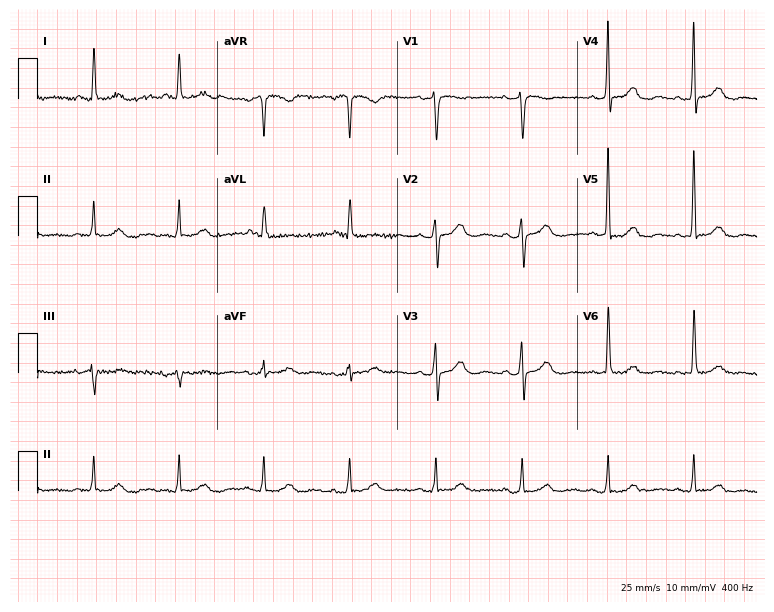
Standard 12-lead ECG recorded from a female patient, 65 years old (7.3-second recording at 400 Hz). Read as a normal ECG.